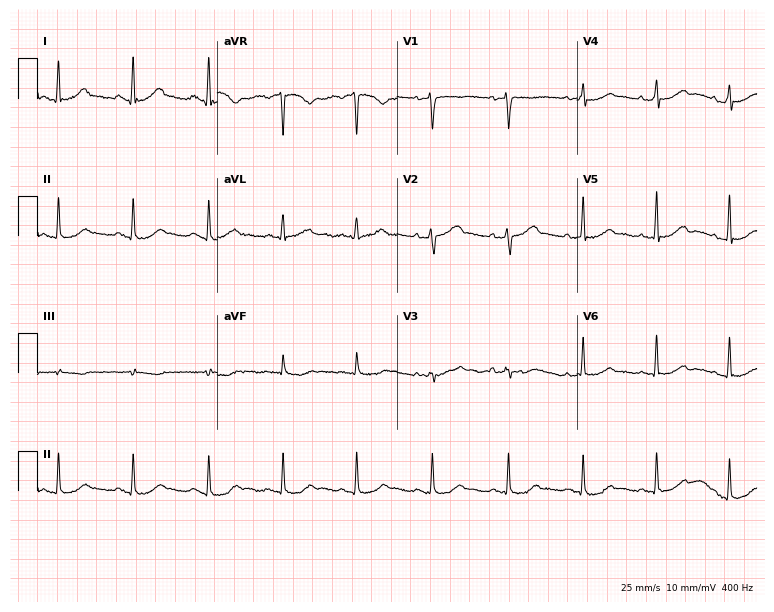
Standard 12-lead ECG recorded from a 43-year-old female patient (7.3-second recording at 400 Hz). Read as a normal ECG.